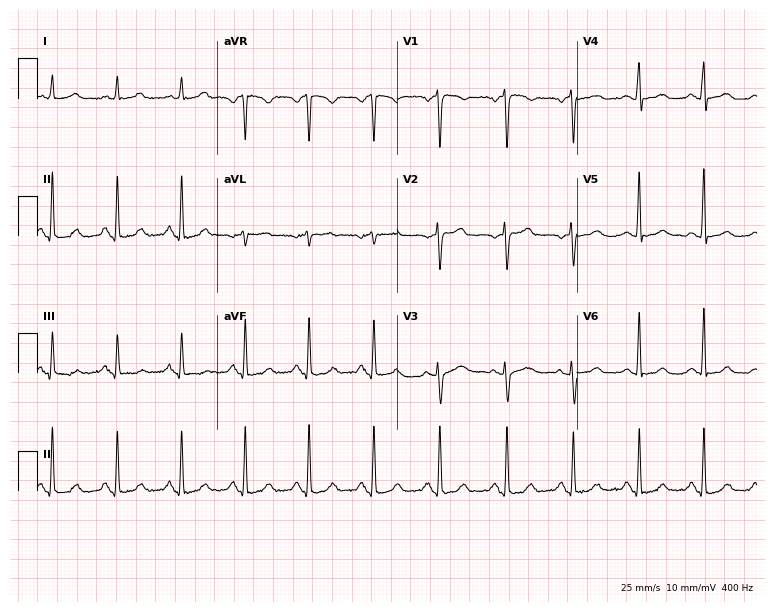
12-lead ECG (7.3-second recording at 400 Hz) from a woman, 60 years old. Screened for six findings — first-degree AV block, right bundle branch block (RBBB), left bundle branch block (LBBB), sinus bradycardia, atrial fibrillation (AF), sinus tachycardia — none is recorded. Other findings, if any, are not listed.